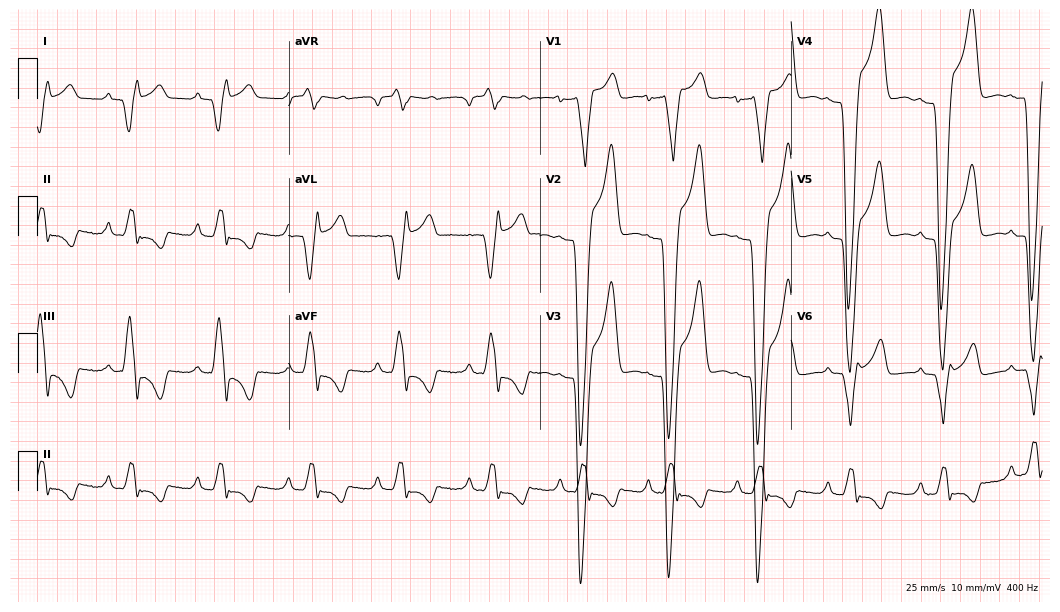
12-lead ECG from a male patient, 57 years old. Findings include left bundle branch block.